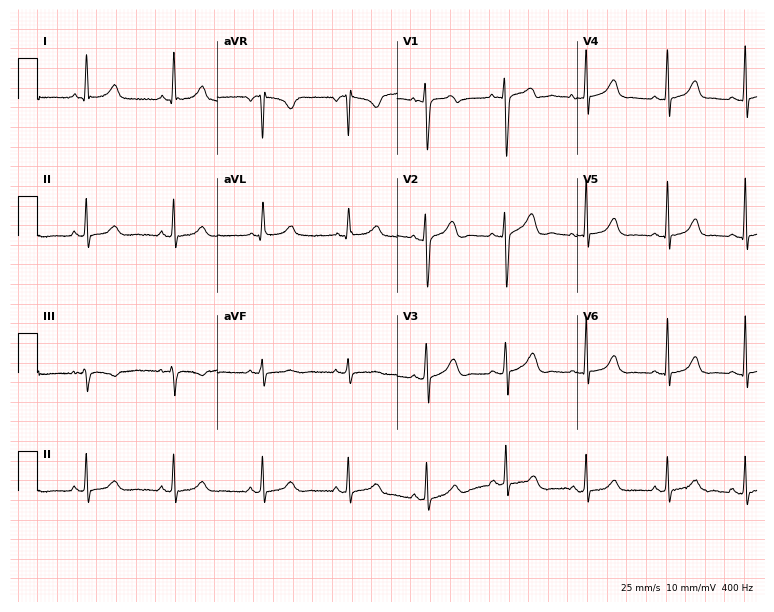
12-lead ECG (7.3-second recording at 400 Hz) from a female patient, 39 years old. Labelled as a normal ECG.